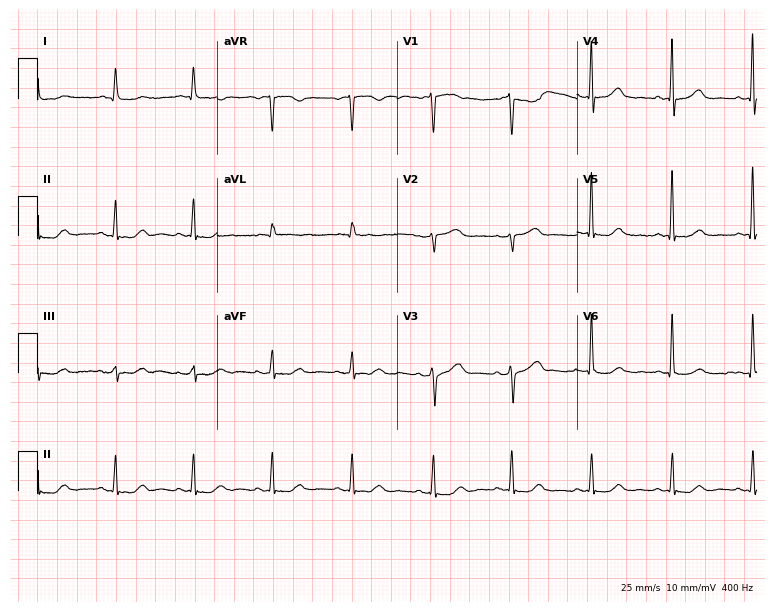
12-lead ECG from a 79-year-old female patient. No first-degree AV block, right bundle branch block, left bundle branch block, sinus bradycardia, atrial fibrillation or sinus tachycardia recorded for this tracing. Other findings, if any, are not listed.